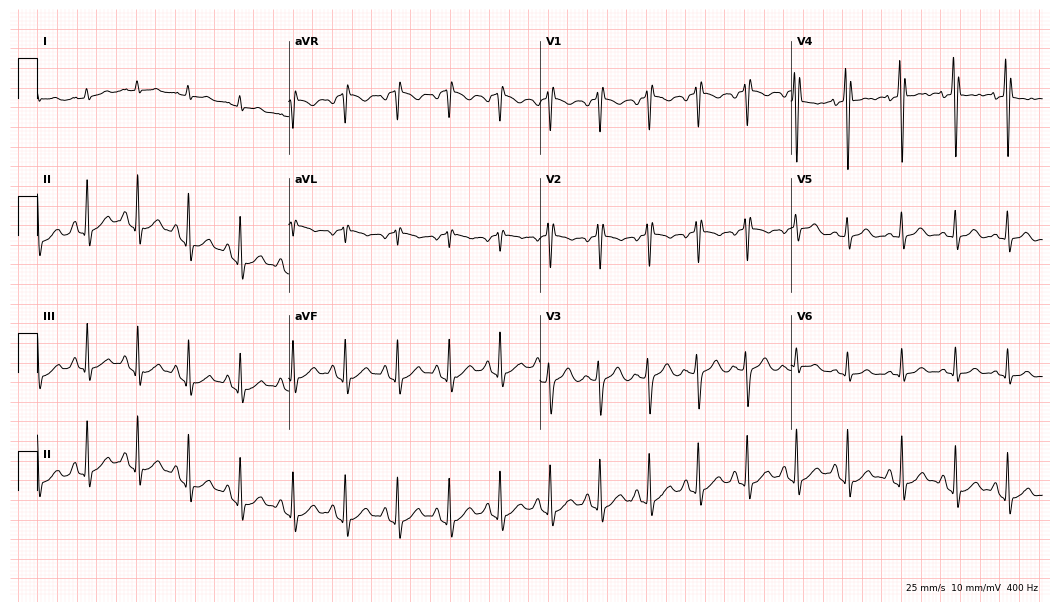
ECG (10.2-second recording at 400 Hz) — a female, 60 years old. Findings include sinus tachycardia (a sinus rate of 100 beats per minute or more).